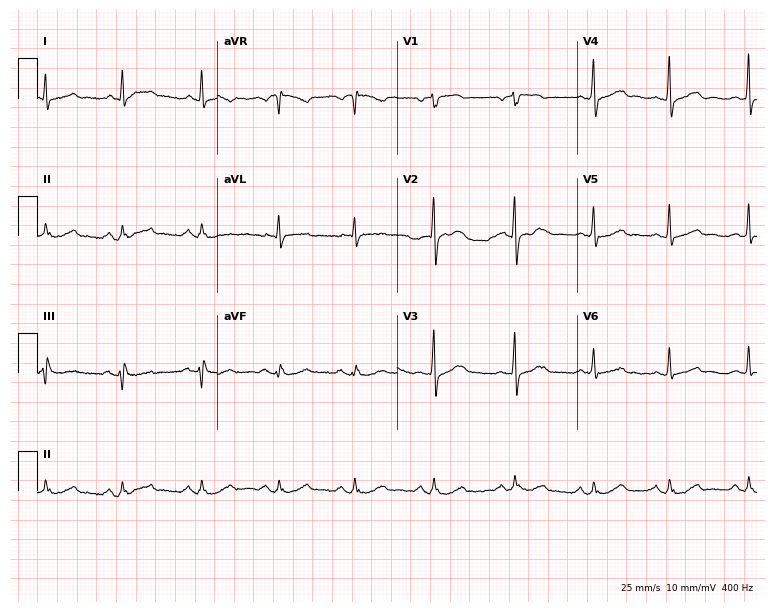
Standard 12-lead ECG recorded from a man, 53 years old. None of these six findings is recorded: first-degree AV block, right bundle branch block, left bundle branch block, sinus bradycardia, atrial fibrillation, sinus tachycardia. Other findings, if any, are not listed.